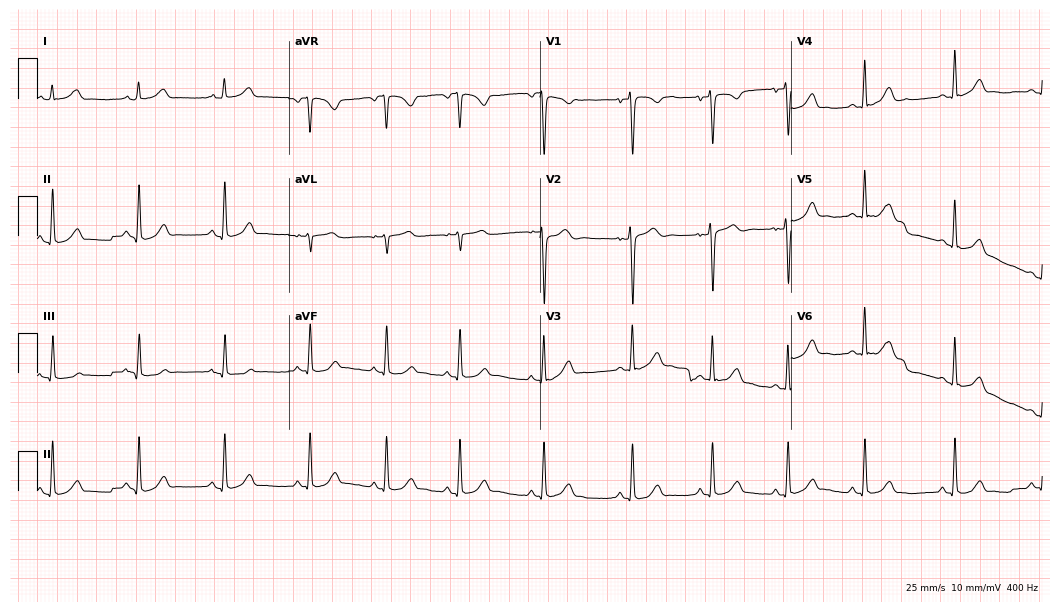
Electrocardiogram (10.2-second recording at 400 Hz), a 27-year-old female patient. Overall reading on record: normal ECG.